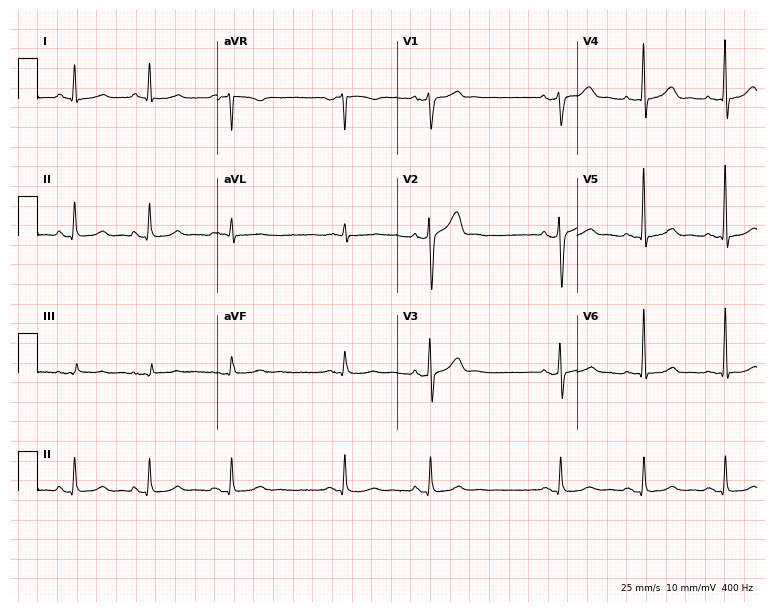
12-lead ECG from a man, 62 years old. Recorded interpretation: within normal limits.